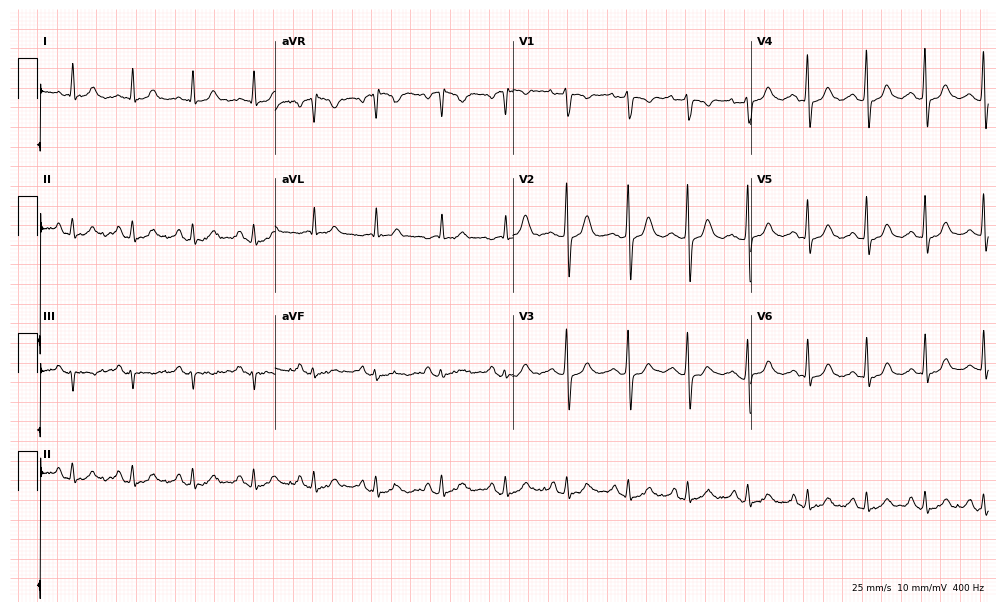
Standard 12-lead ECG recorded from a 54-year-old woman (9.7-second recording at 400 Hz). None of these six findings is recorded: first-degree AV block, right bundle branch block, left bundle branch block, sinus bradycardia, atrial fibrillation, sinus tachycardia. Findings outside these six are not listed.